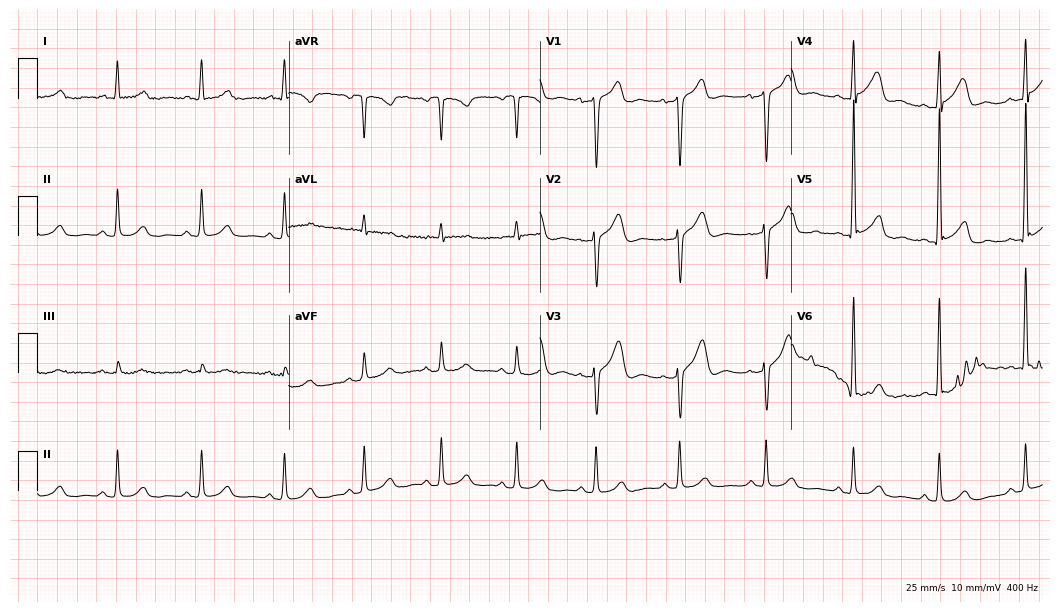
Resting 12-lead electrocardiogram (10.2-second recording at 400 Hz). Patient: a 56-year-old woman. None of these six findings is recorded: first-degree AV block, right bundle branch block, left bundle branch block, sinus bradycardia, atrial fibrillation, sinus tachycardia.